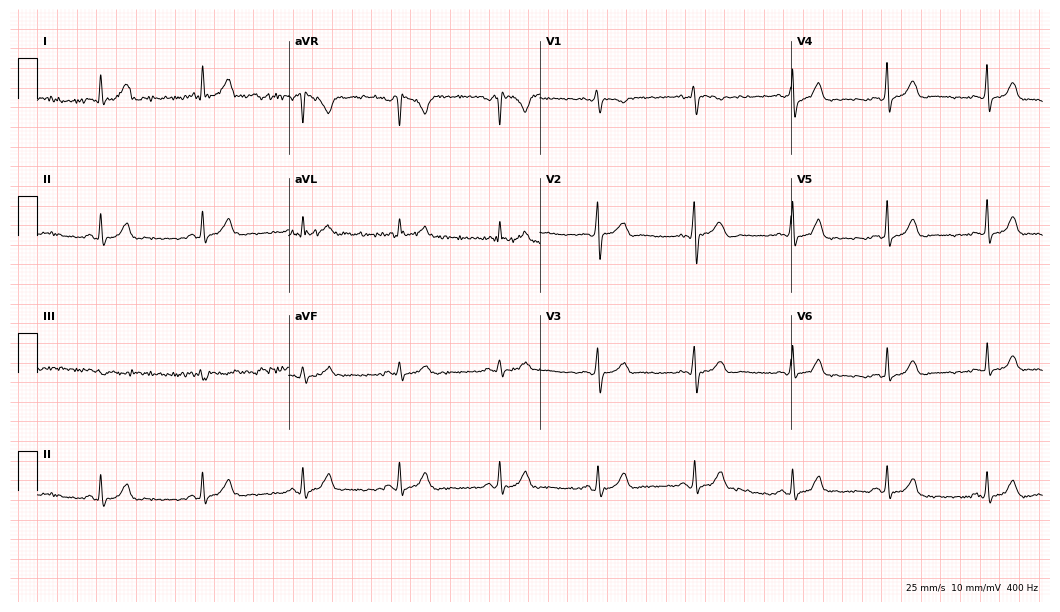
Resting 12-lead electrocardiogram (10.2-second recording at 400 Hz). Patient: a woman, 35 years old. Read as a normal ECG.